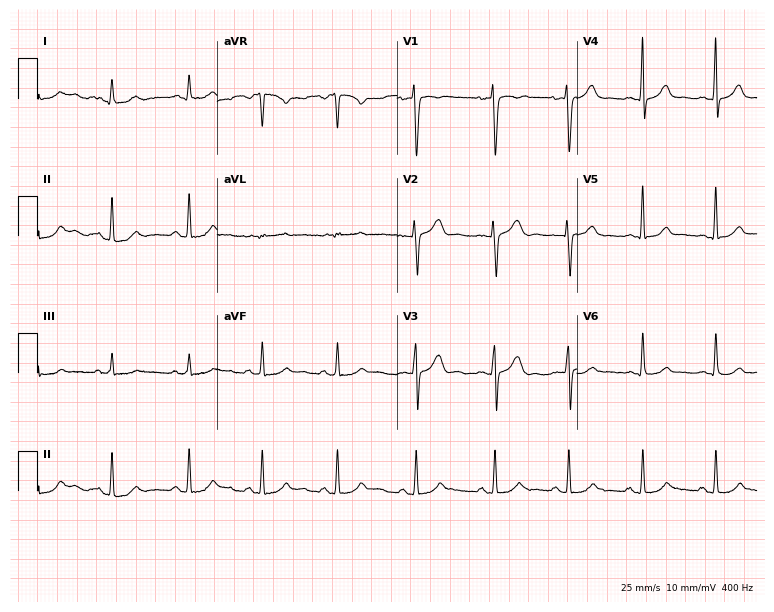
12-lead ECG (7.3-second recording at 400 Hz) from a female patient, 31 years old. Labelled as a normal ECG.